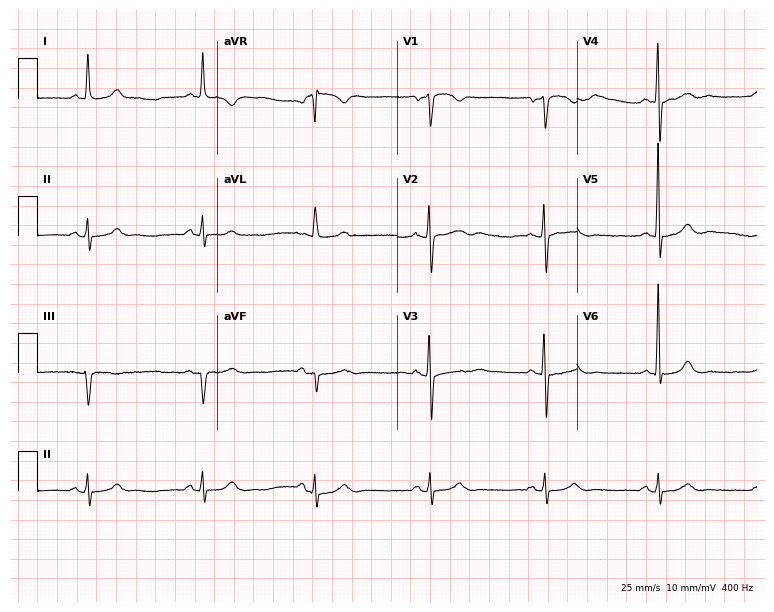
12-lead ECG from a 70-year-old male (7.3-second recording at 400 Hz). Recorded interpretation: within normal limits.